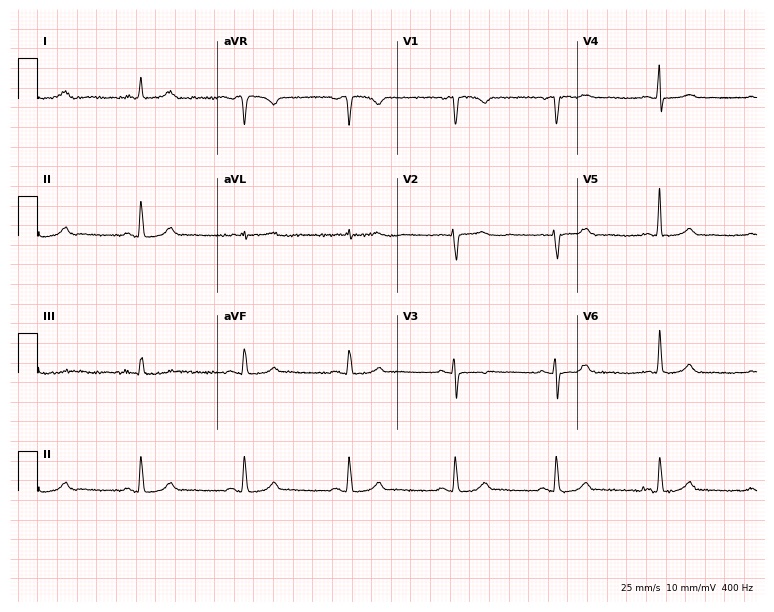
ECG — a 76-year-old woman. Labelled as a normal ECG.